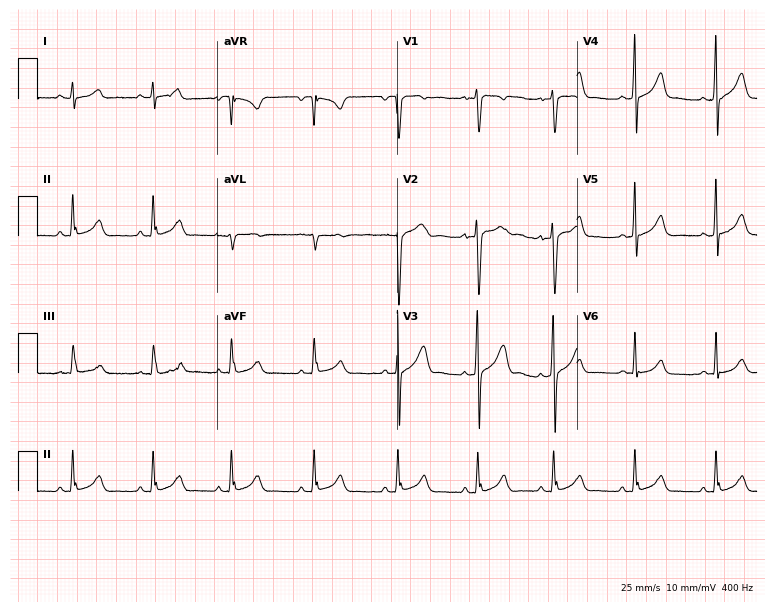
12-lead ECG from a 20-year-old male (7.3-second recording at 400 Hz). Recorded interpretation: within normal limits.